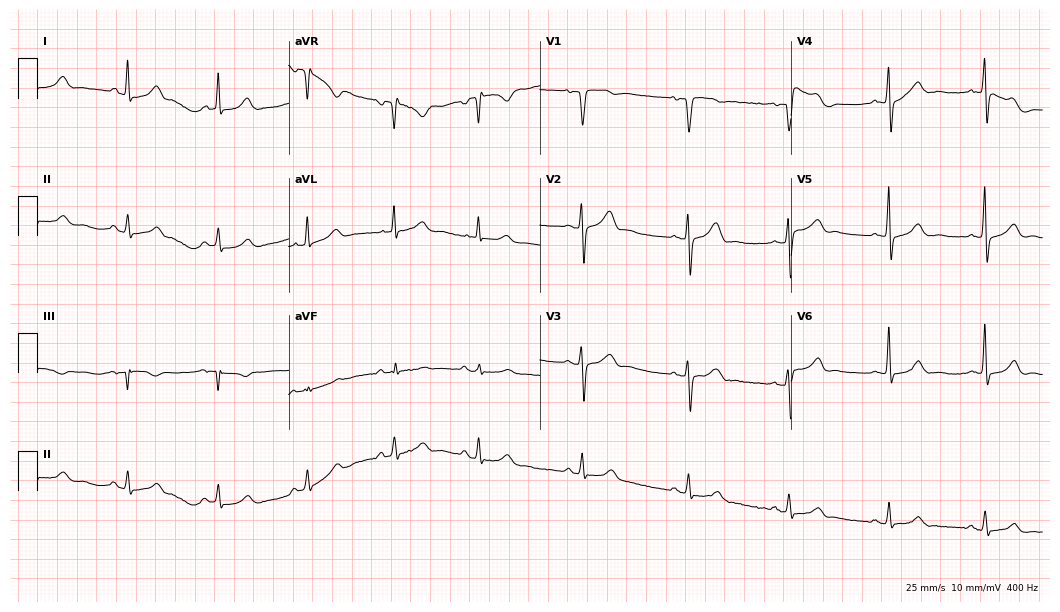
ECG — a 58-year-old man. Labelled as a normal ECG.